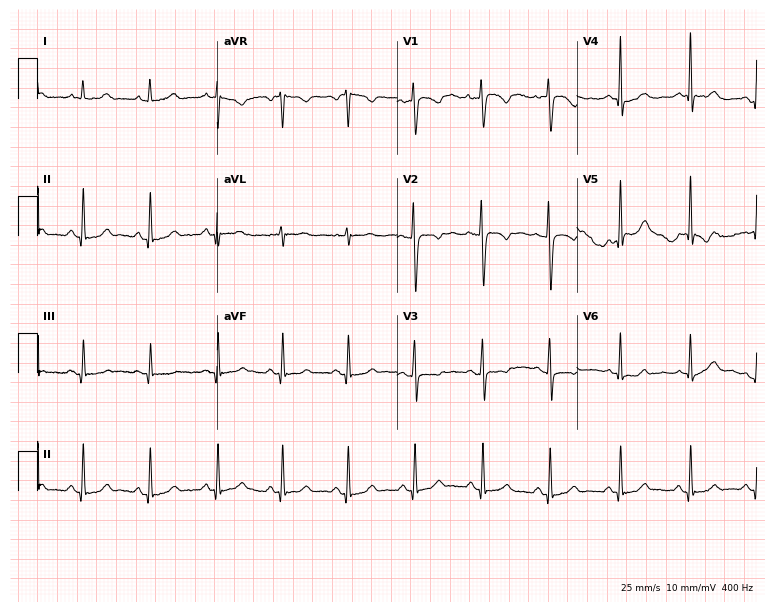
12-lead ECG from a 35-year-old female patient (7.3-second recording at 400 Hz). No first-degree AV block, right bundle branch block, left bundle branch block, sinus bradycardia, atrial fibrillation or sinus tachycardia recorded for this tracing. Findings outside these six are not listed.